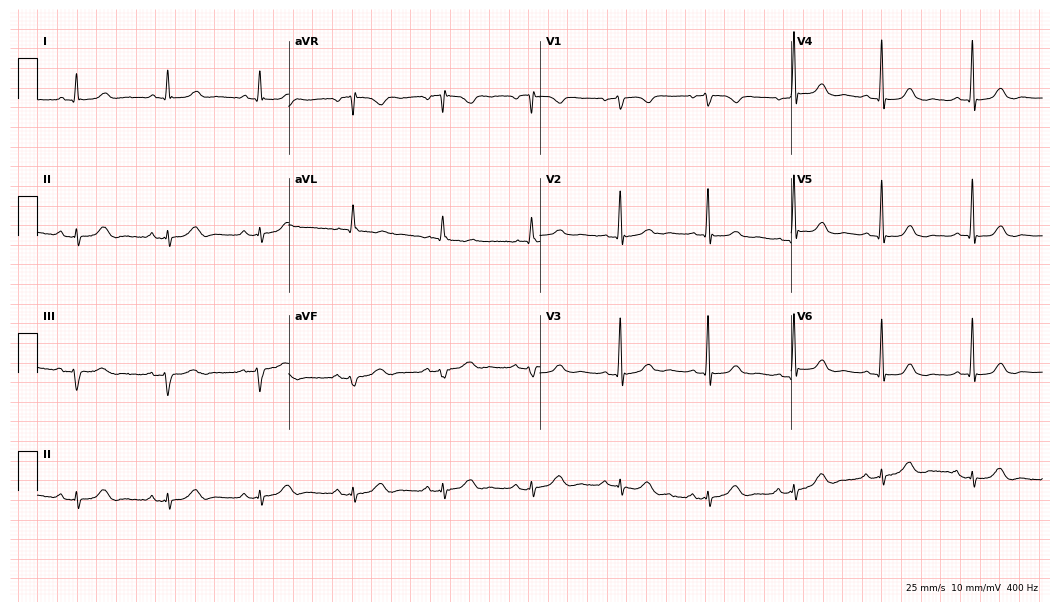
Electrocardiogram, a 67-year-old female. Overall reading on record: normal ECG.